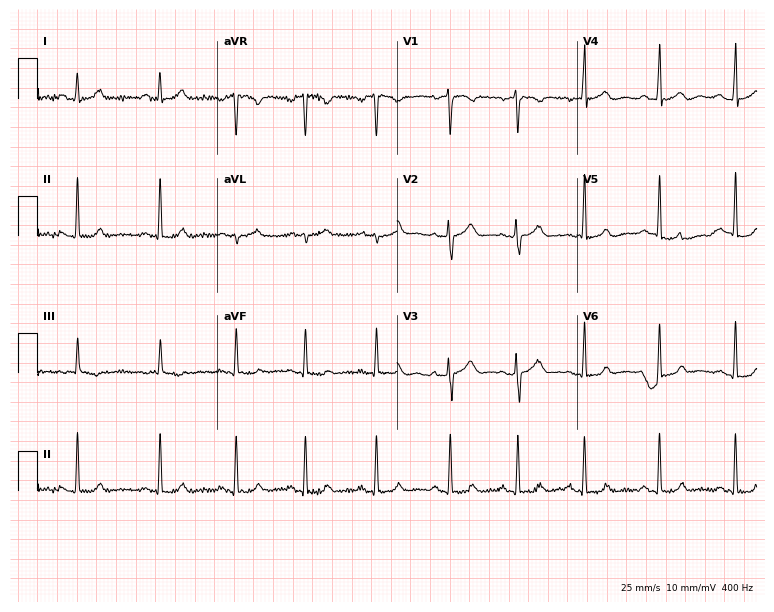
Resting 12-lead electrocardiogram. Patient: a 20-year-old female. Read as a normal ECG.